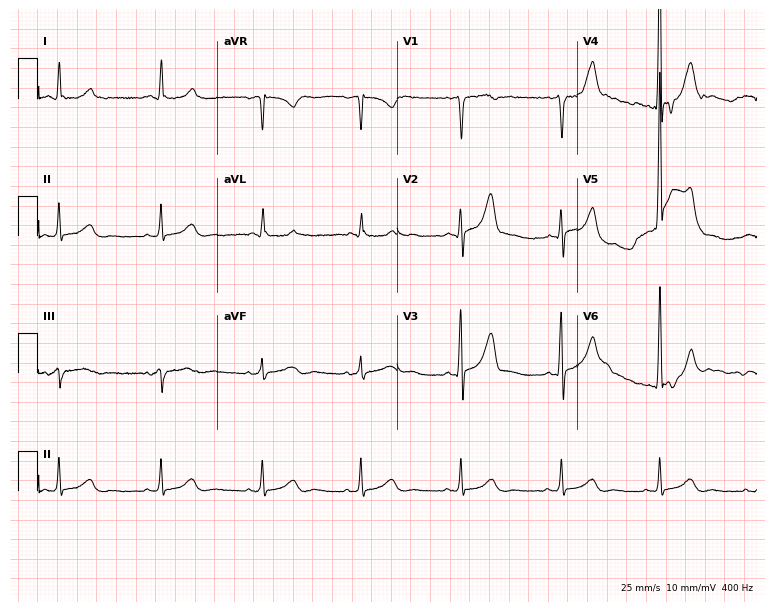
12-lead ECG from a 53-year-old man. Recorded interpretation: within normal limits.